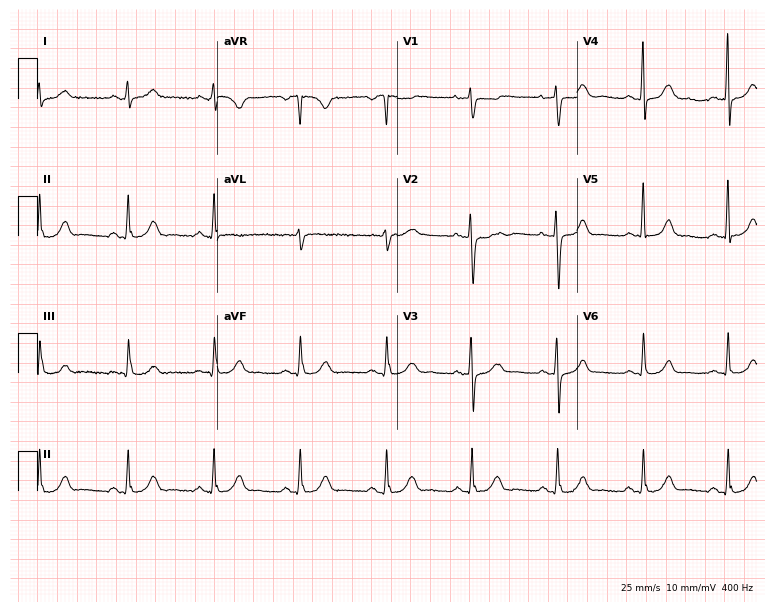
Resting 12-lead electrocardiogram (7.3-second recording at 400 Hz). Patient: a woman, 75 years old. Read as a normal ECG.